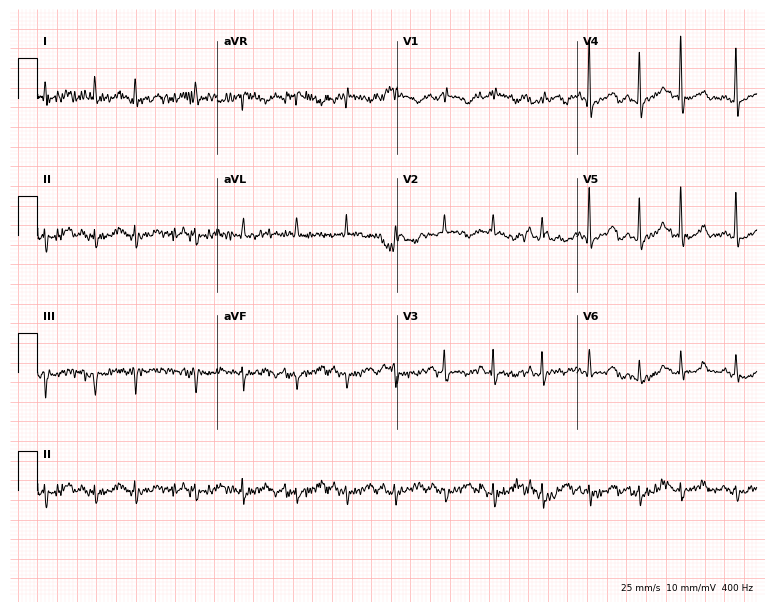
ECG — a woman, 83 years old. Screened for six findings — first-degree AV block, right bundle branch block, left bundle branch block, sinus bradycardia, atrial fibrillation, sinus tachycardia — none is recorded.